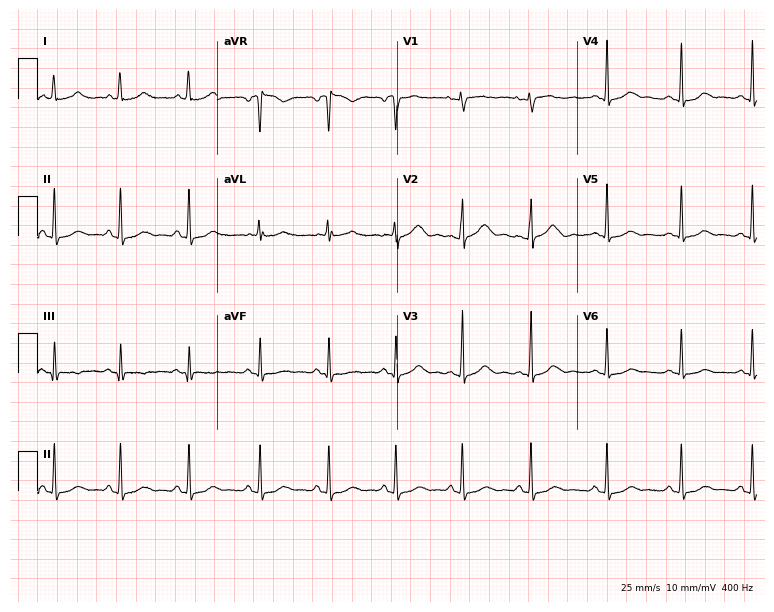
Resting 12-lead electrocardiogram. Patient: a woman, 27 years old. Read as a normal ECG.